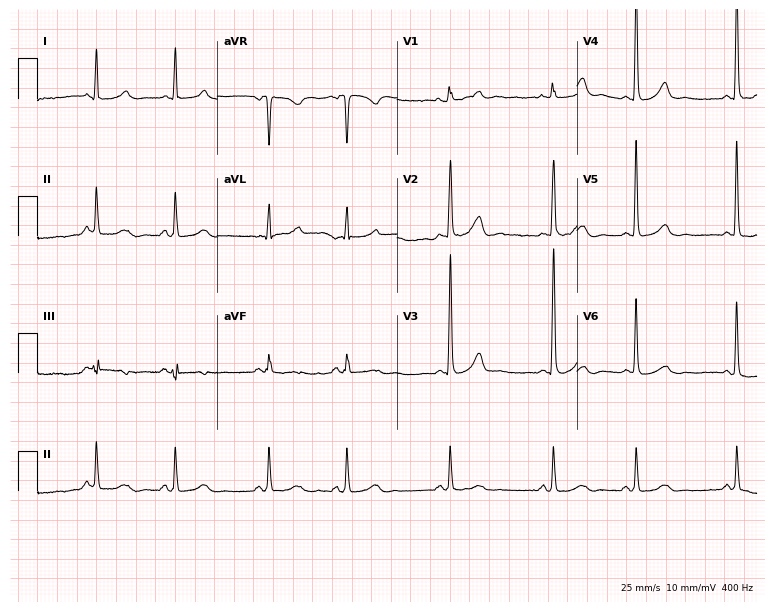
ECG — a 75-year-old woman. Screened for six findings — first-degree AV block, right bundle branch block, left bundle branch block, sinus bradycardia, atrial fibrillation, sinus tachycardia — none is recorded. Other findings, if any, are not listed.